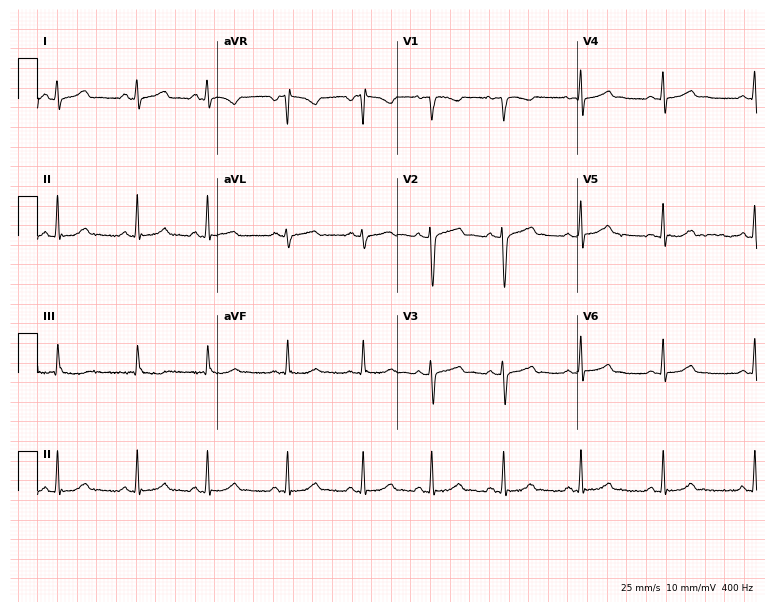
12-lead ECG (7.3-second recording at 400 Hz) from a 21-year-old woman. Labelled as a normal ECG.